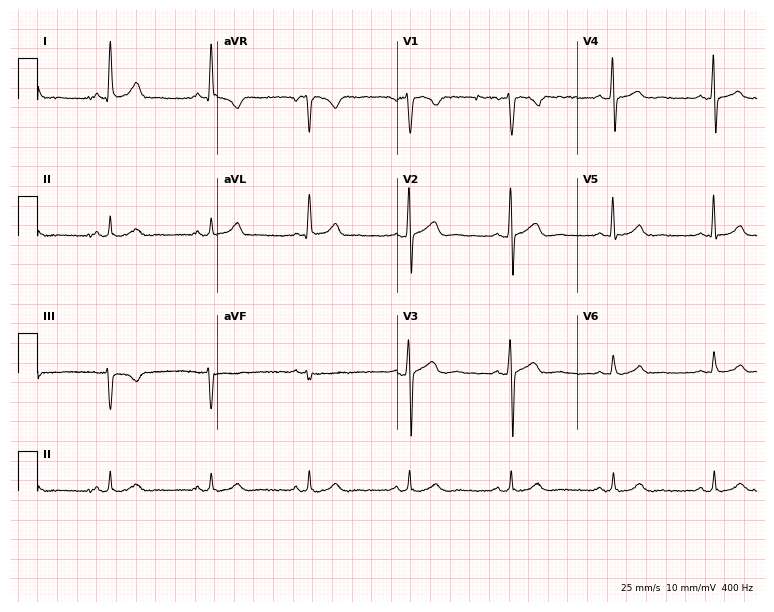
Resting 12-lead electrocardiogram. Patient: a male, 60 years old. Read as a normal ECG.